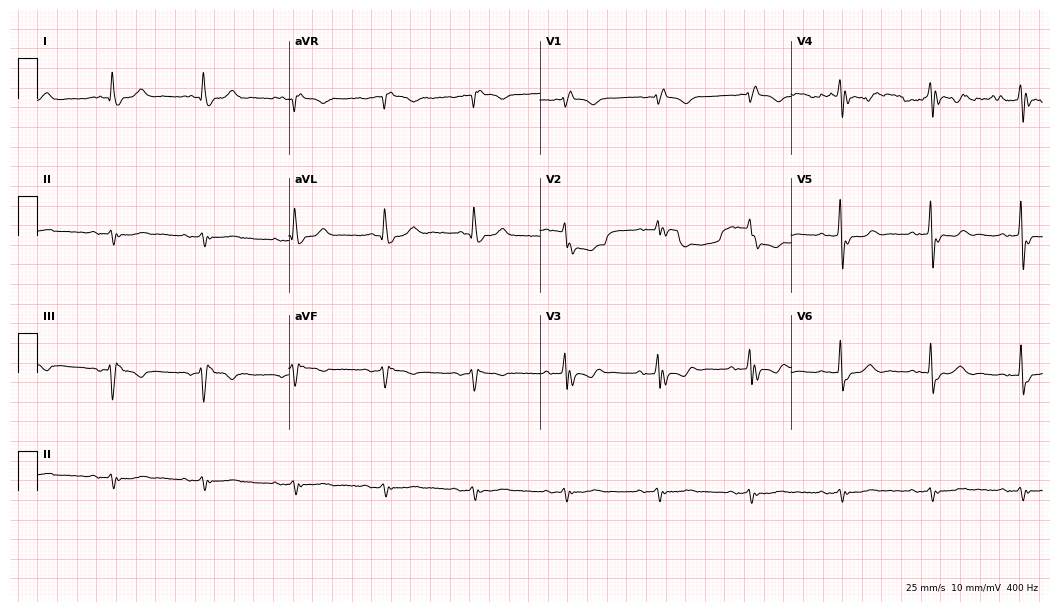
12-lead ECG from a male, 78 years old (10.2-second recording at 400 Hz). Shows right bundle branch block.